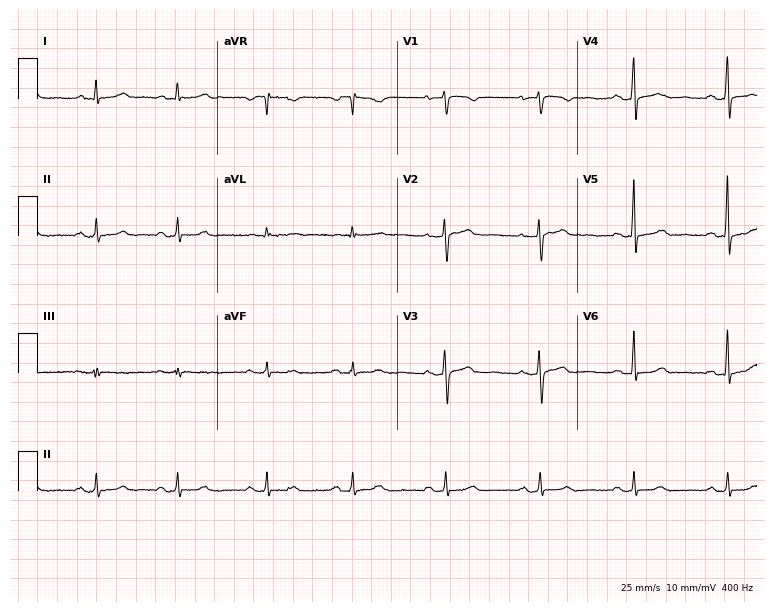
Resting 12-lead electrocardiogram. Patient: a female, 47 years old. Read as a normal ECG.